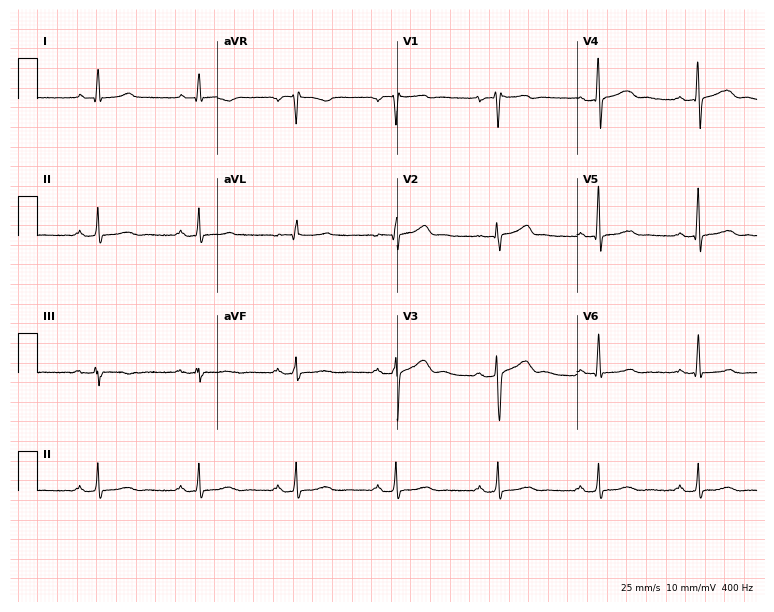
12-lead ECG from a man, 44 years old. Recorded interpretation: within normal limits.